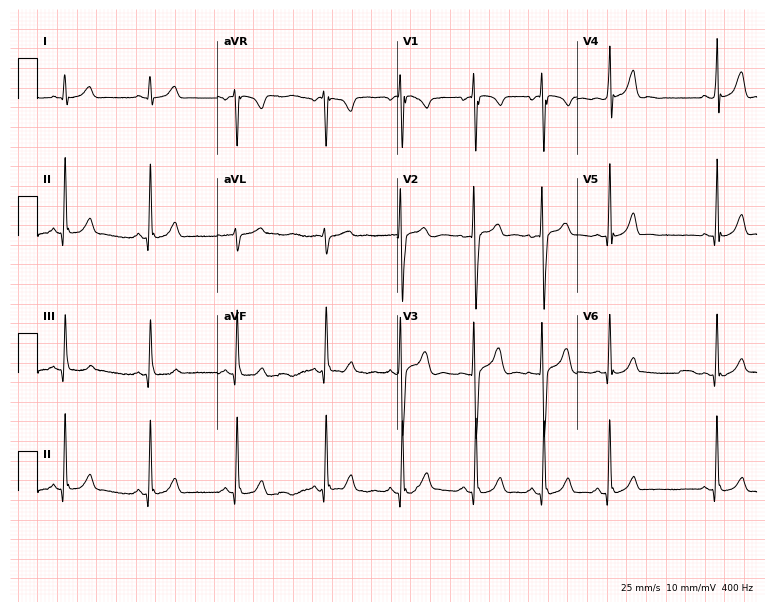
Electrocardiogram (7.3-second recording at 400 Hz), a 20-year-old male. Overall reading on record: normal ECG.